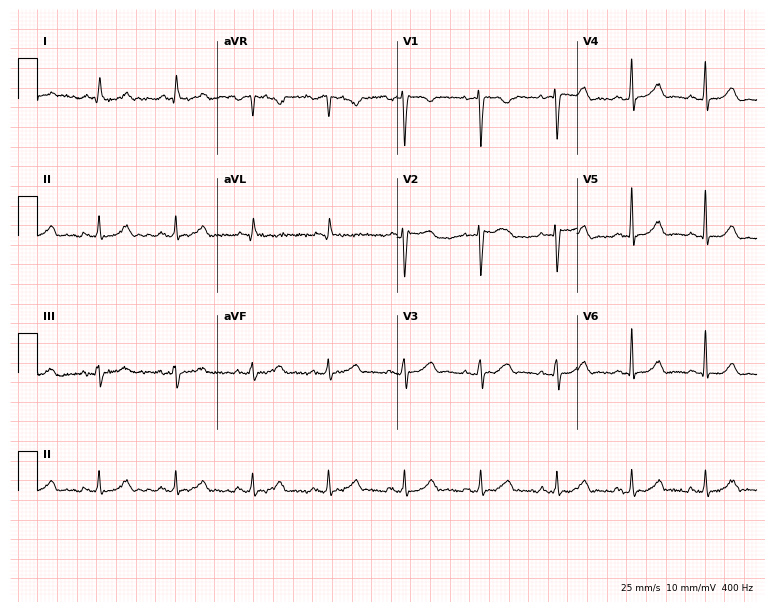
12-lead ECG (7.3-second recording at 400 Hz) from a 46-year-old female patient. Labelled as a normal ECG.